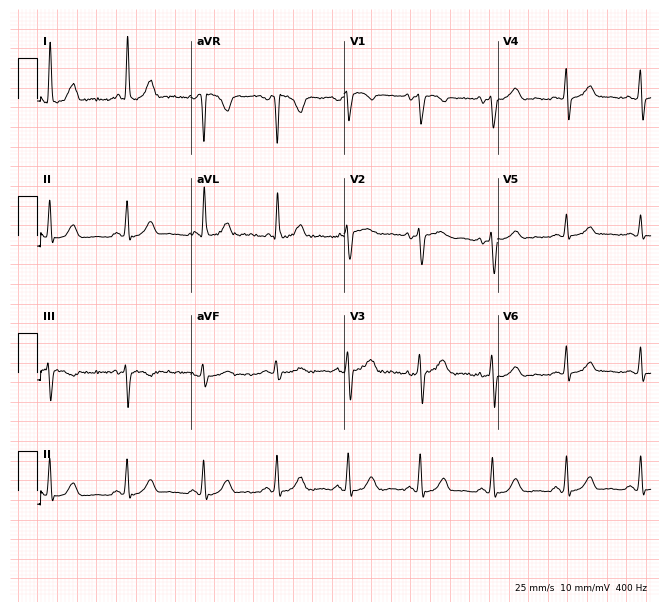
Electrocardiogram, a female, 54 years old. Overall reading on record: normal ECG.